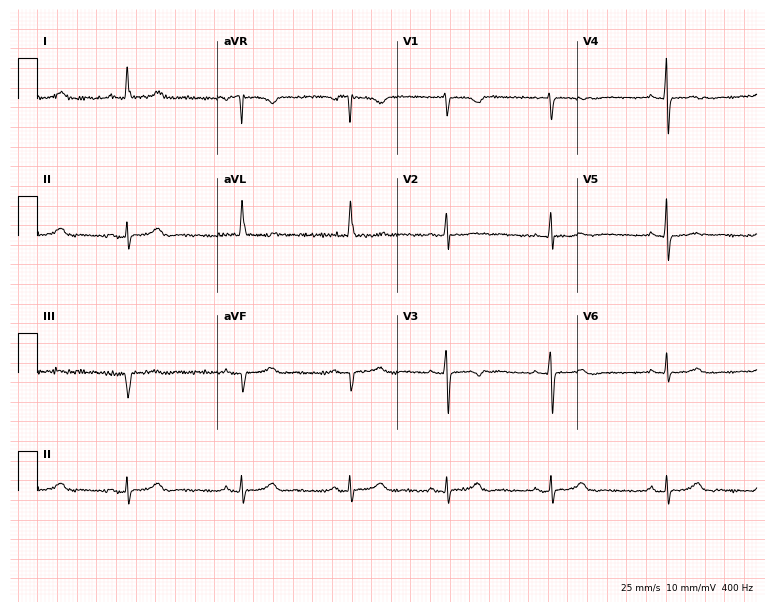
12-lead ECG from a 60-year-old female. Recorded interpretation: within normal limits.